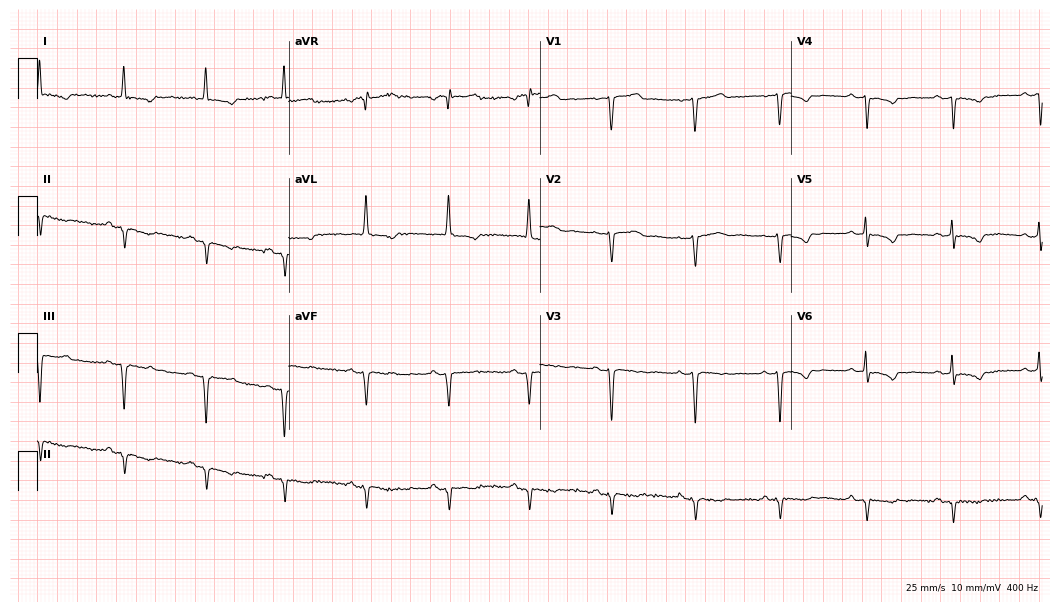
Resting 12-lead electrocardiogram. Patient: a female, 79 years old. None of these six findings is recorded: first-degree AV block, right bundle branch block, left bundle branch block, sinus bradycardia, atrial fibrillation, sinus tachycardia. Other findings, if any, are not listed.